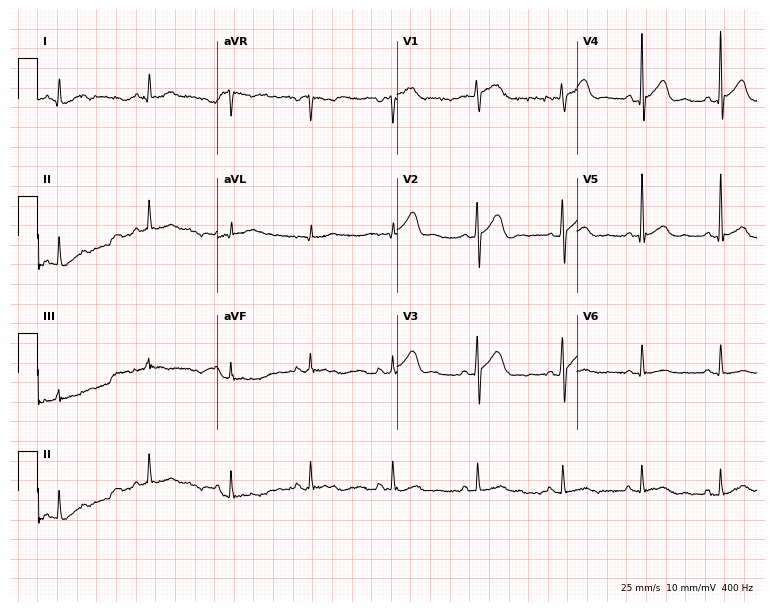
Electrocardiogram, a 46-year-old male. Overall reading on record: normal ECG.